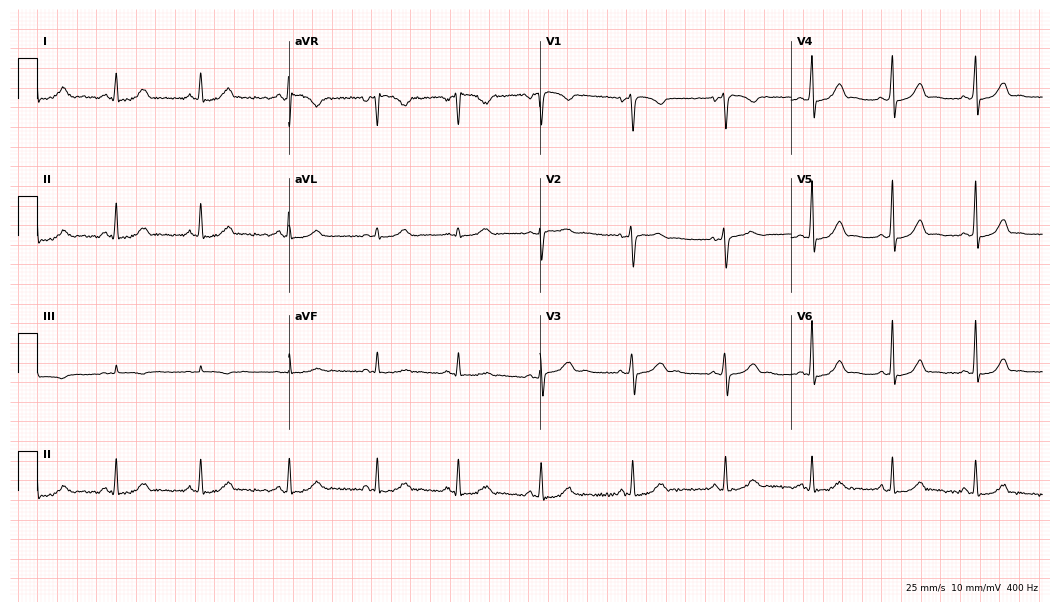
Standard 12-lead ECG recorded from a 36-year-old female patient. None of these six findings is recorded: first-degree AV block, right bundle branch block (RBBB), left bundle branch block (LBBB), sinus bradycardia, atrial fibrillation (AF), sinus tachycardia. Findings outside these six are not listed.